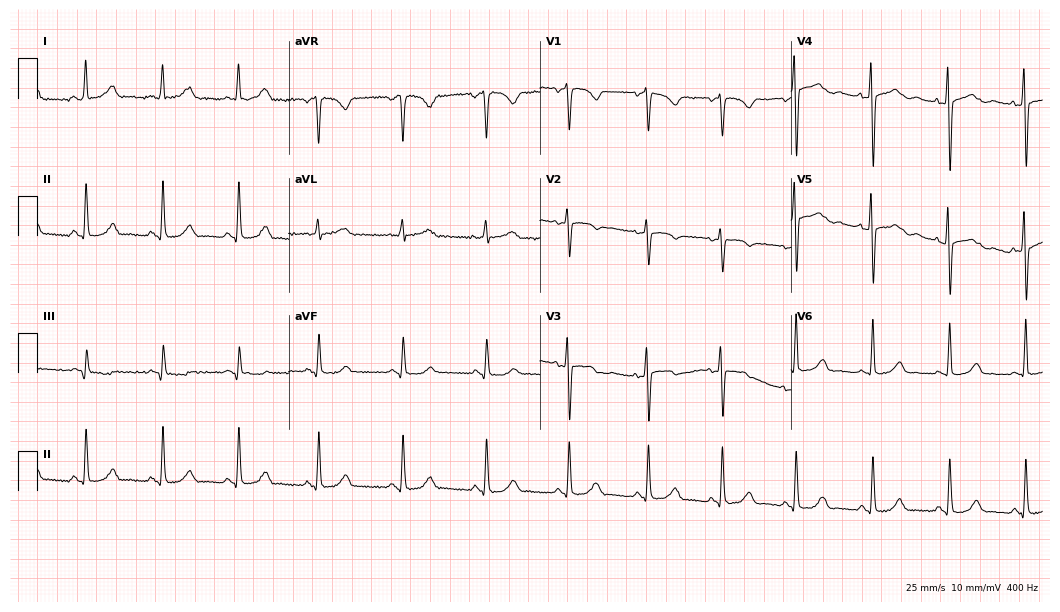
12-lead ECG from a female patient, 27 years old. Recorded interpretation: within normal limits.